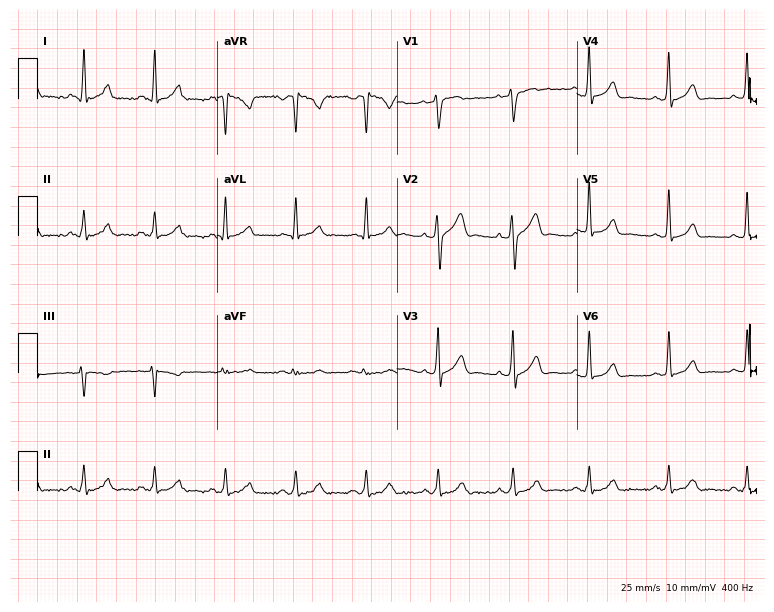
12-lead ECG (7.3-second recording at 400 Hz) from a man, 38 years old. Screened for six findings — first-degree AV block, right bundle branch block, left bundle branch block, sinus bradycardia, atrial fibrillation, sinus tachycardia — none is recorded. Findings outside these six are not listed.